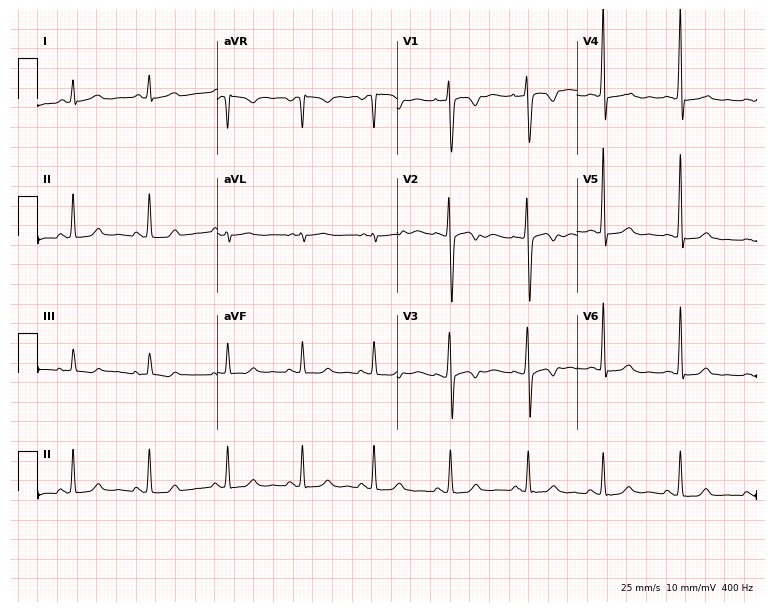
Standard 12-lead ECG recorded from a 27-year-old woman. None of these six findings is recorded: first-degree AV block, right bundle branch block (RBBB), left bundle branch block (LBBB), sinus bradycardia, atrial fibrillation (AF), sinus tachycardia. Other findings, if any, are not listed.